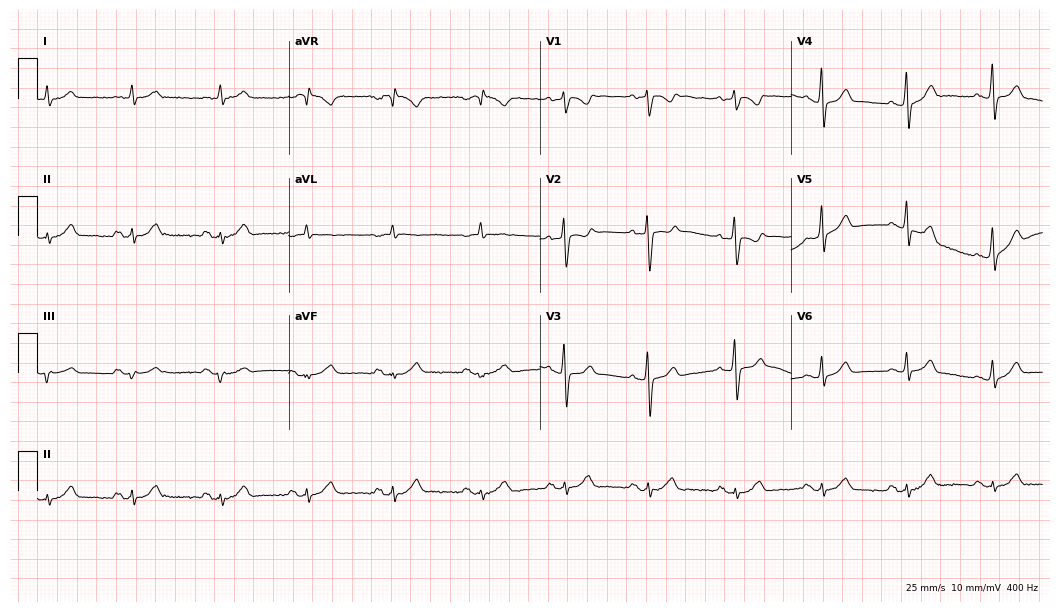
12-lead ECG from a 61-year-old male. Labelled as a normal ECG.